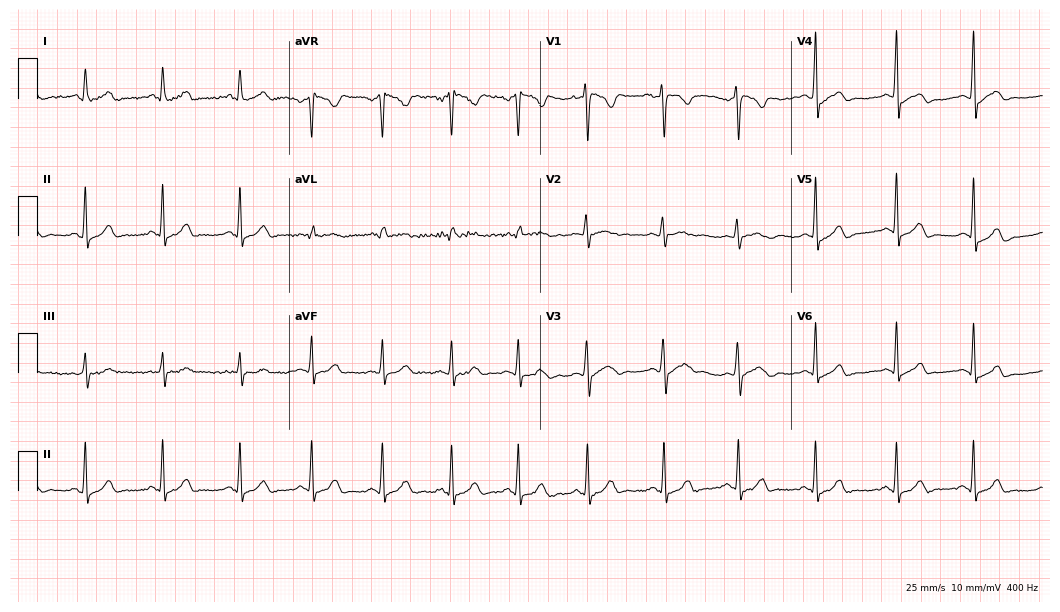
12-lead ECG from a female patient, 30 years old (10.2-second recording at 400 Hz). Recorded interpretation: within normal limits.